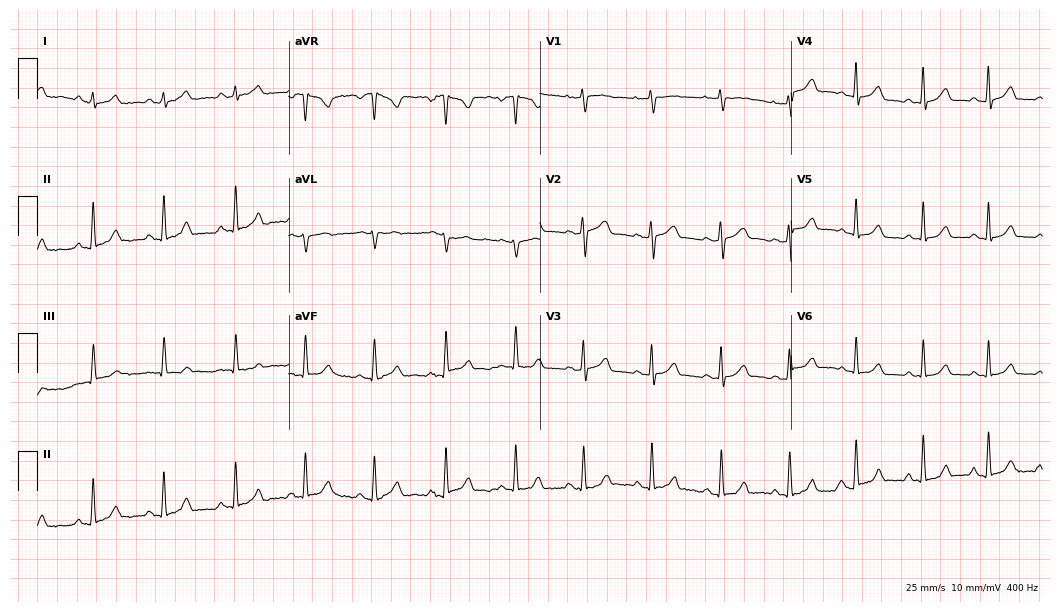
ECG — a 38-year-old female patient. Screened for six findings — first-degree AV block, right bundle branch block, left bundle branch block, sinus bradycardia, atrial fibrillation, sinus tachycardia — none is recorded.